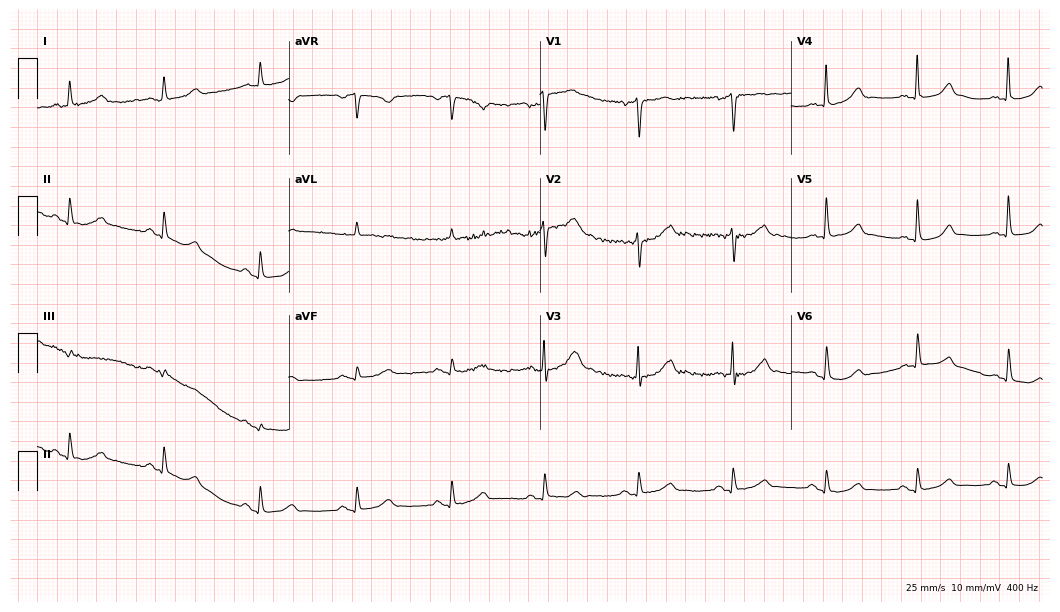
12-lead ECG from an 84-year-old female. Recorded interpretation: within normal limits.